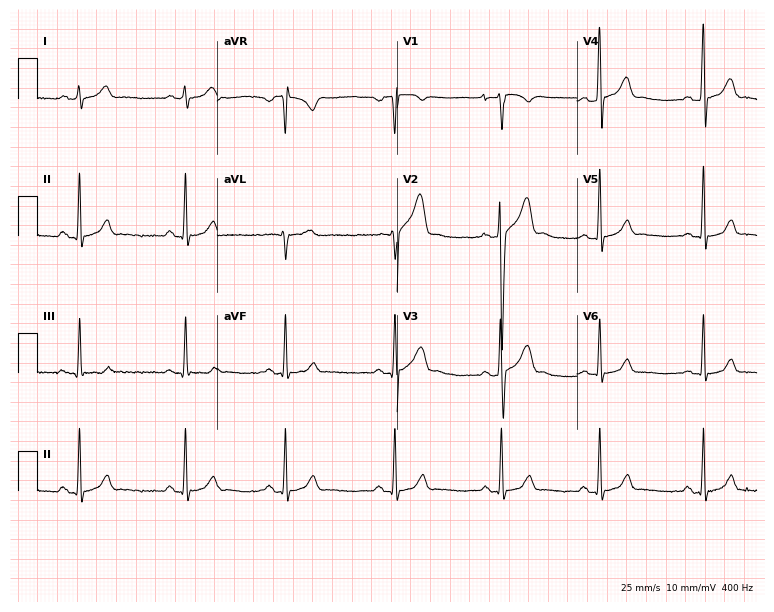
Standard 12-lead ECG recorded from a man, 18 years old. Read as a normal ECG.